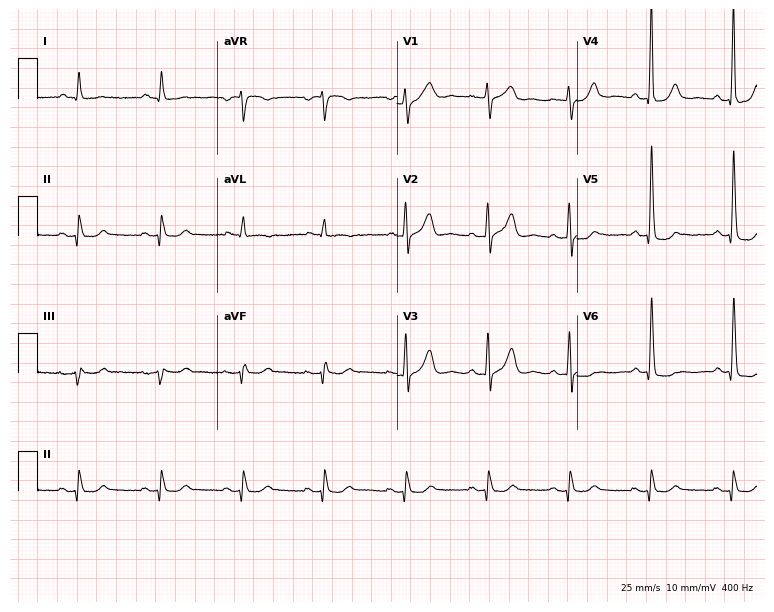
12-lead ECG from a 72-year-old man. Recorded interpretation: within normal limits.